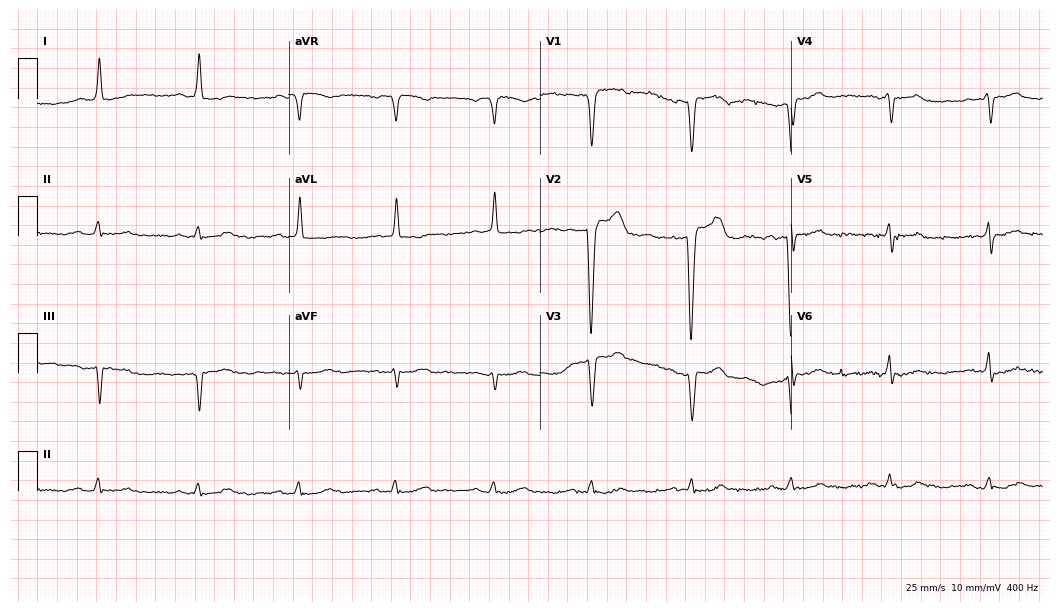
Standard 12-lead ECG recorded from a male patient, 45 years old (10.2-second recording at 400 Hz). The tracing shows first-degree AV block.